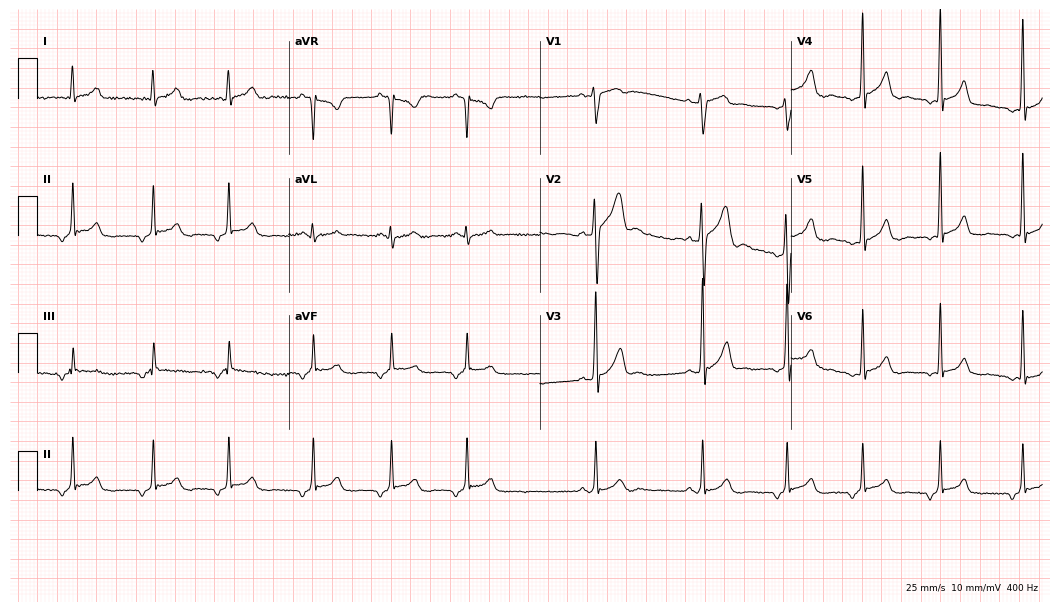
Standard 12-lead ECG recorded from a 21-year-old male patient. None of these six findings is recorded: first-degree AV block, right bundle branch block (RBBB), left bundle branch block (LBBB), sinus bradycardia, atrial fibrillation (AF), sinus tachycardia. Findings outside these six are not listed.